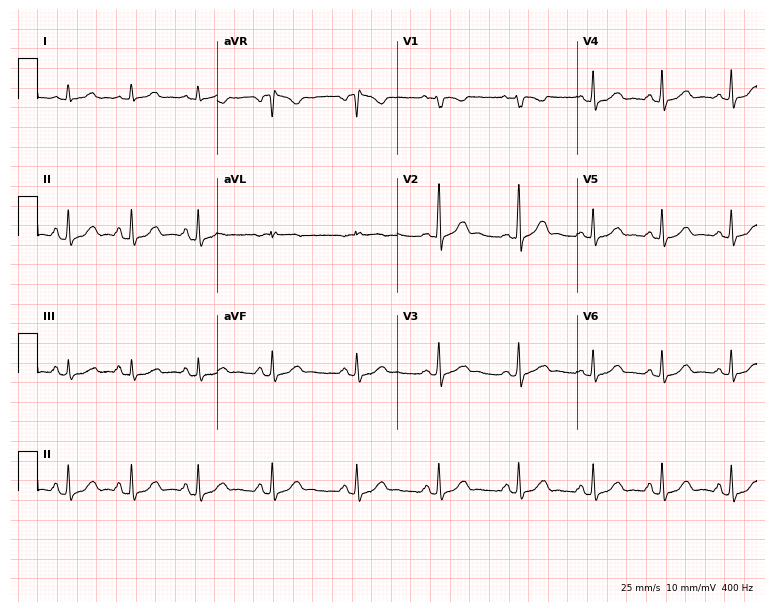
12-lead ECG (7.3-second recording at 400 Hz) from a male patient, 54 years old. Labelled as a normal ECG.